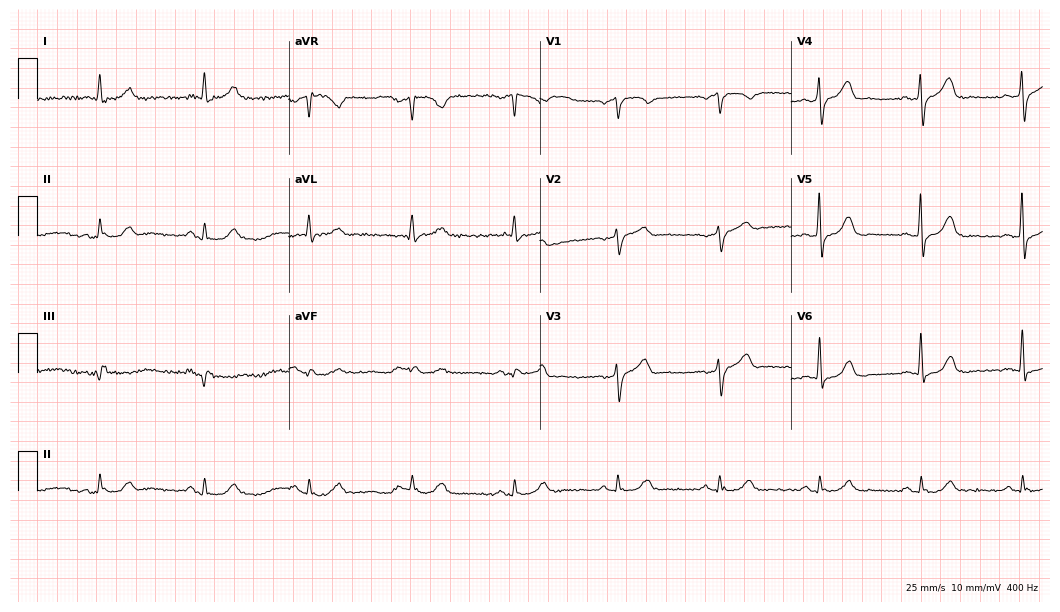
Electrocardiogram, a male, 67 years old. Of the six screened findings (first-degree AV block, right bundle branch block (RBBB), left bundle branch block (LBBB), sinus bradycardia, atrial fibrillation (AF), sinus tachycardia), none is recorded.